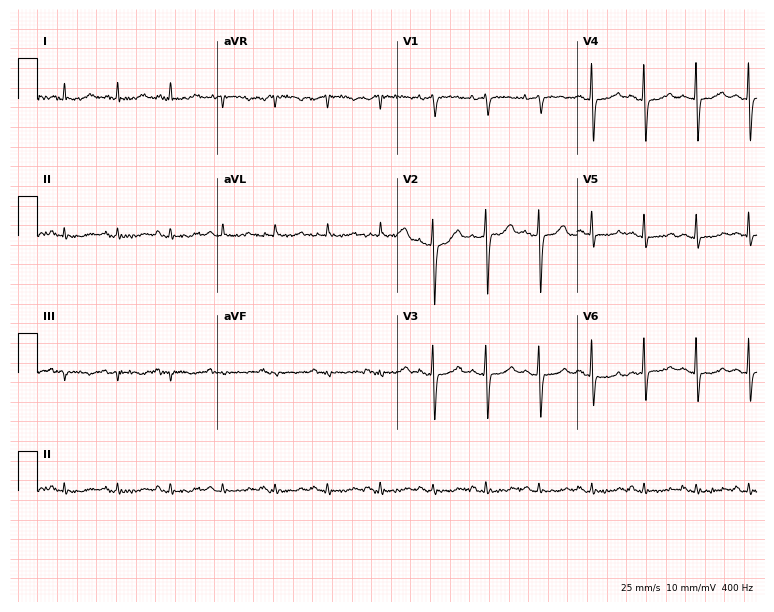
12-lead ECG from an 82-year-old female. No first-degree AV block, right bundle branch block (RBBB), left bundle branch block (LBBB), sinus bradycardia, atrial fibrillation (AF) or sinus tachycardia recorded for this tracing. Findings outside these six are not listed.